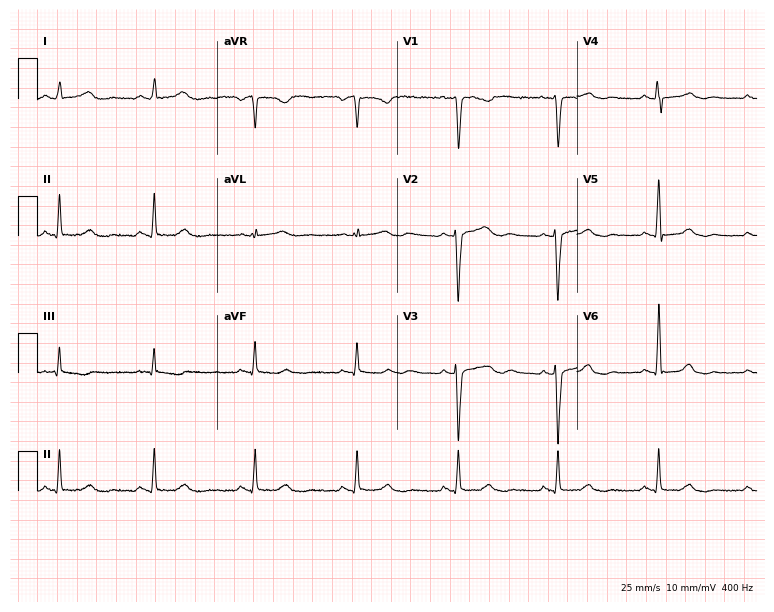
Electrocardiogram (7.3-second recording at 400 Hz), a 34-year-old female patient. Of the six screened findings (first-degree AV block, right bundle branch block, left bundle branch block, sinus bradycardia, atrial fibrillation, sinus tachycardia), none is recorded.